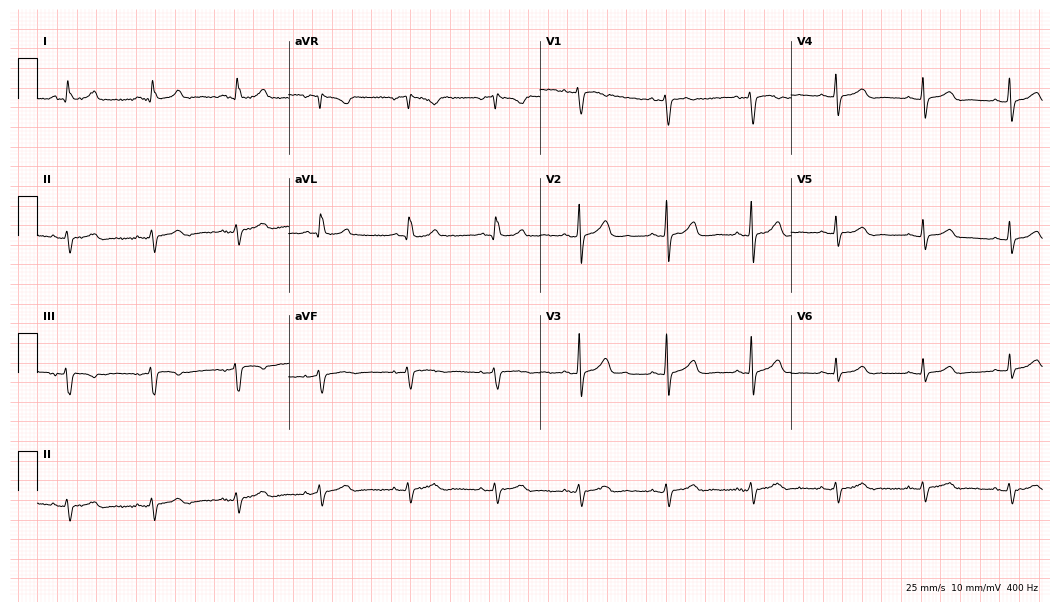
Resting 12-lead electrocardiogram. Patient: a 63-year-old woman. Read as a normal ECG.